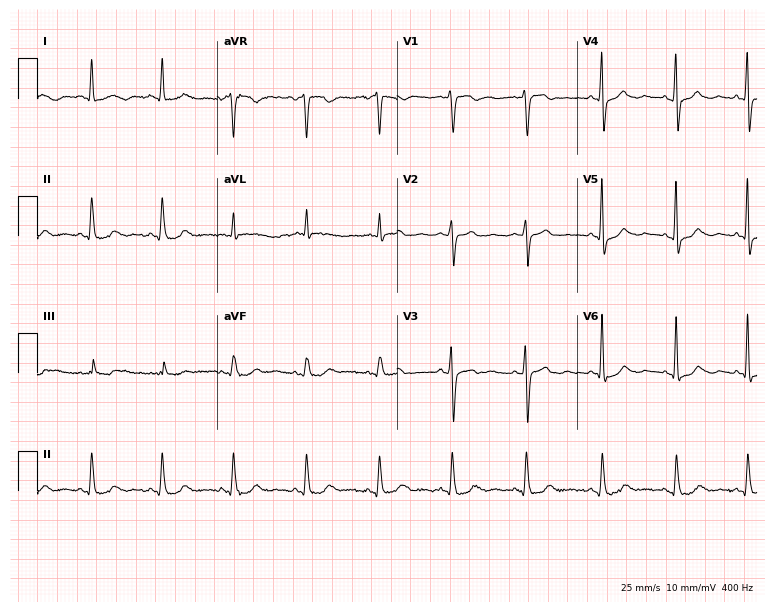
12-lead ECG from a female, 59 years old. Labelled as a normal ECG.